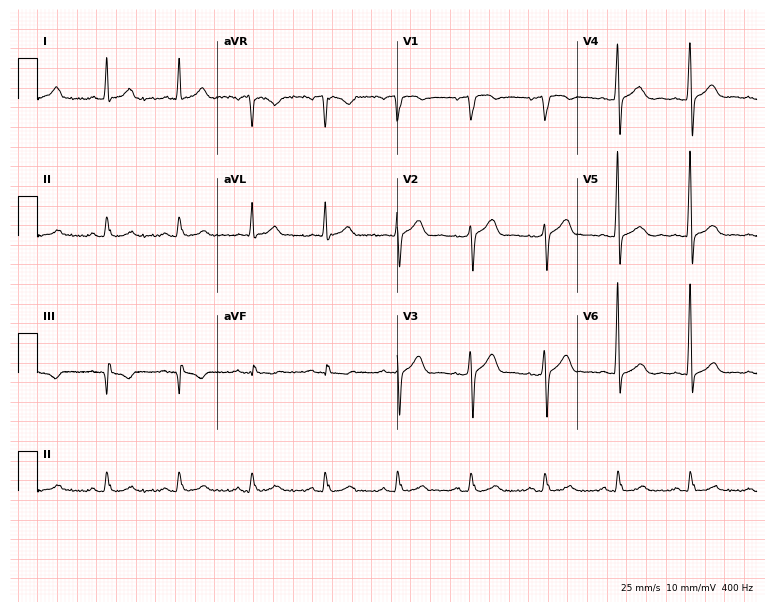
12-lead ECG from a male, 53 years old. Screened for six findings — first-degree AV block, right bundle branch block, left bundle branch block, sinus bradycardia, atrial fibrillation, sinus tachycardia — none is recorded.